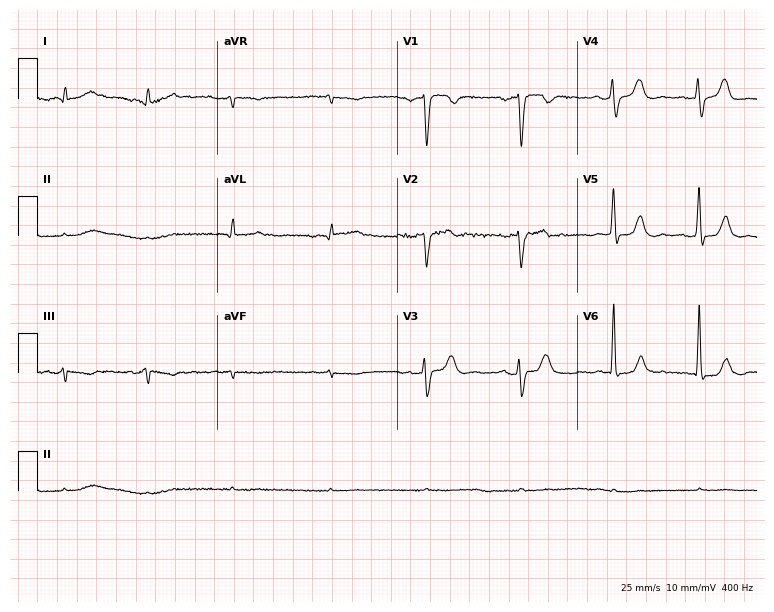
Resting 12-lead electrocardiogram. Patient: a man, 67 years old. None of these six findings is recorded: first-degree AV block, right bundle branch block (RBBB), left bundle branch block (LBBB), sinus bradycardia, atrial fibrillation (AF), sinus tachycardia. Findings outside these six are not listed.